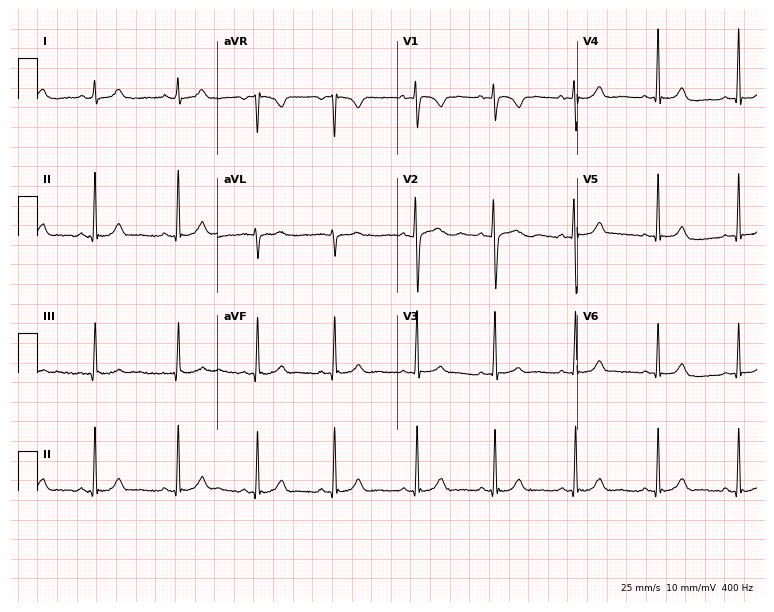
Electrocardiogram (7.3-second recording at 400 Hz), an 18-year-old female patient. Overall reading on record: normal ECG.